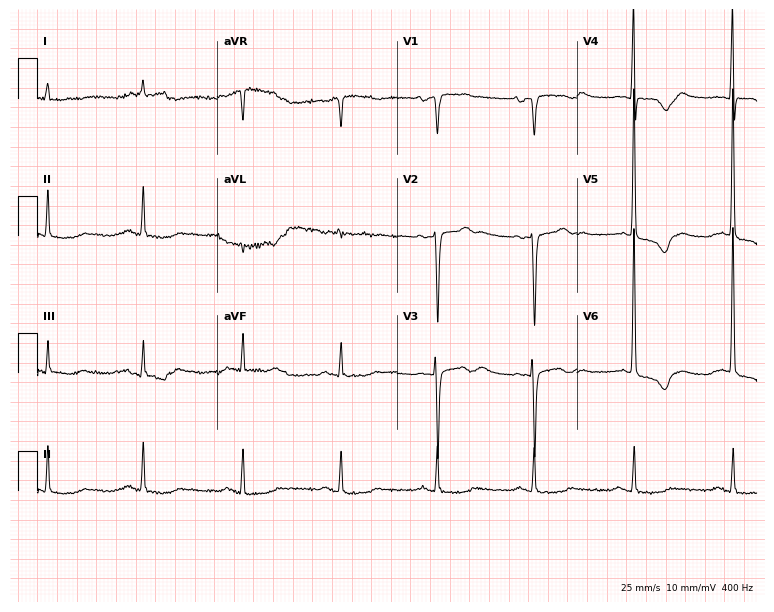
12-lead ECG from an 85-year-old female. No first-degree AV block, right bundle branch block, left bundle branch block, sinus bradycardia, atrial fibrillation or sinus tachycardia recorded for this tracing.